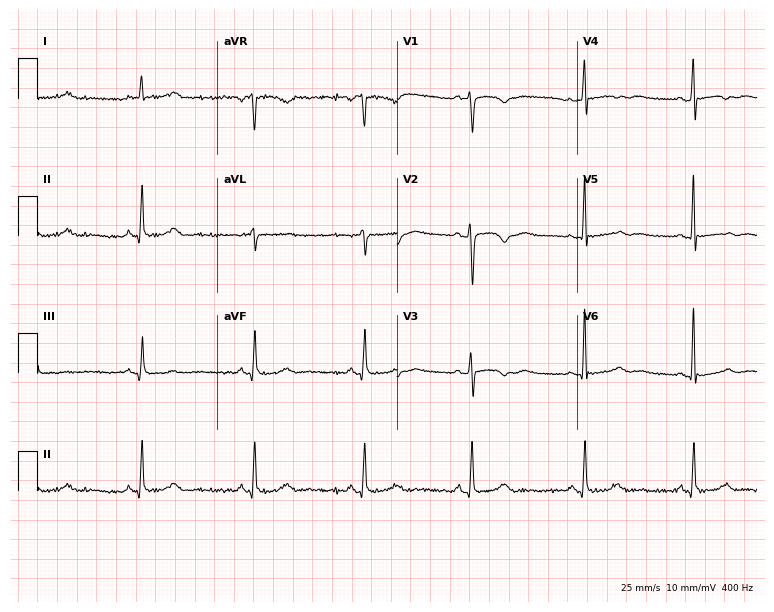
12-lead ECG from a 44-year-old female. Recorded interpretation: within normal limits.